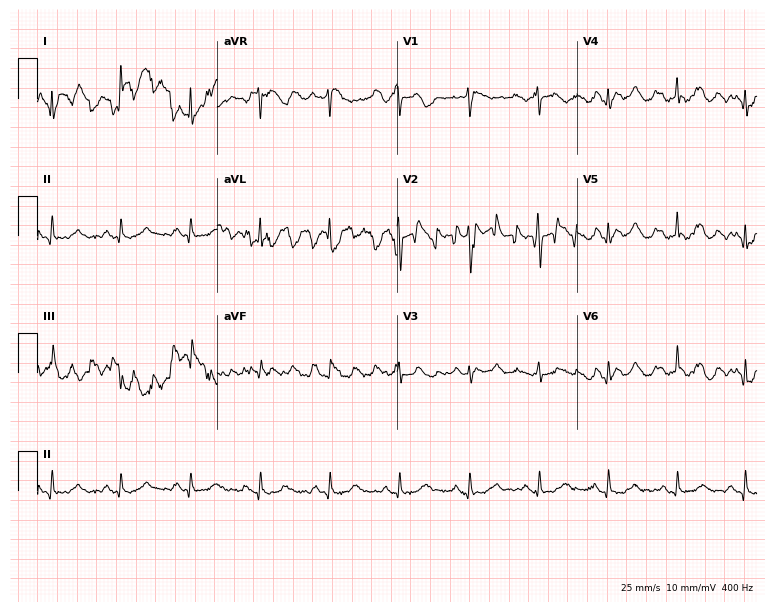
12-lead ECG from a 68-year-old female patient (7.3-second recording at 400 Hz). No first-degree AV block, right bundle branch block, left bundle branch block, sinus bradycardia, atrial fibrillation or sinus tachycardia recorded for this tracing.